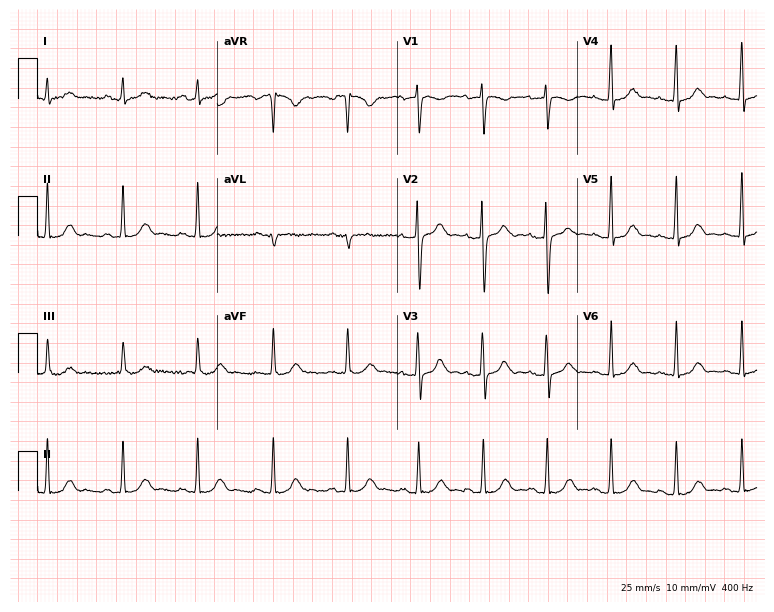
ECG (7.3-second recording at 400 Hz) — a 28-year-old female. Screened for six findings — first-degree AV block, right bundle branch block, left bundle branch block, sinus bradycardia, atrial fibrillation, sinus tachycardia — none is recorded. Findings outside these six are not listed.